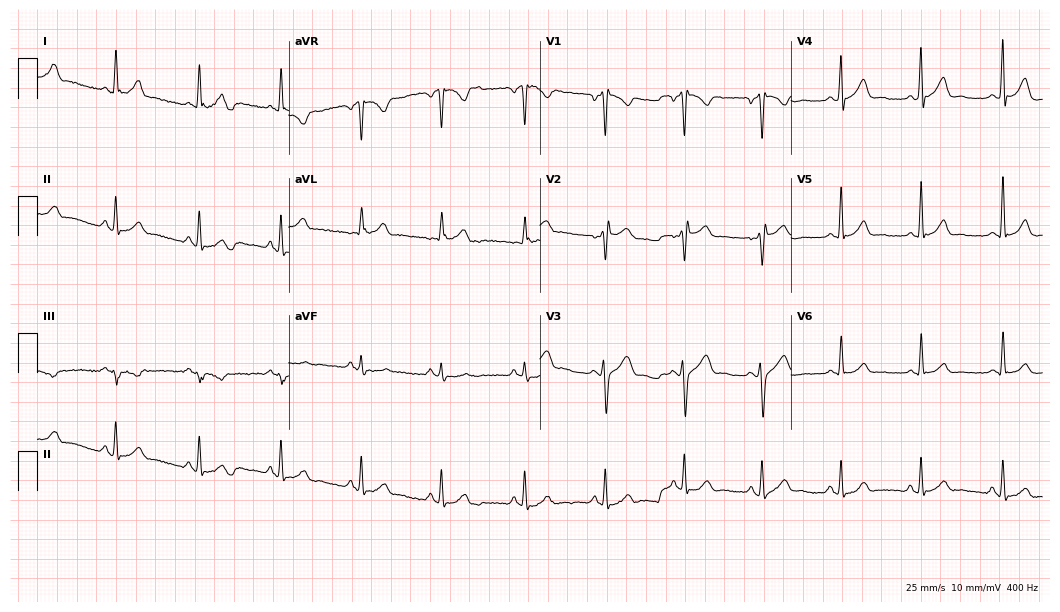
Electrocardiogram, a man, 40 years old. Overall reading on record: normal ECG.